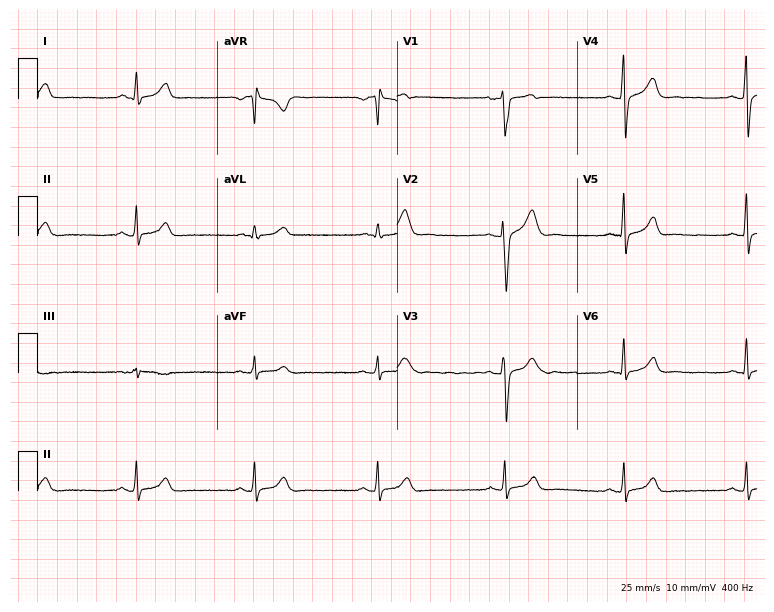
ECG (7.3-second recording at 400 Hz) — a 32-year-old man. Labelled as a normal ECG.